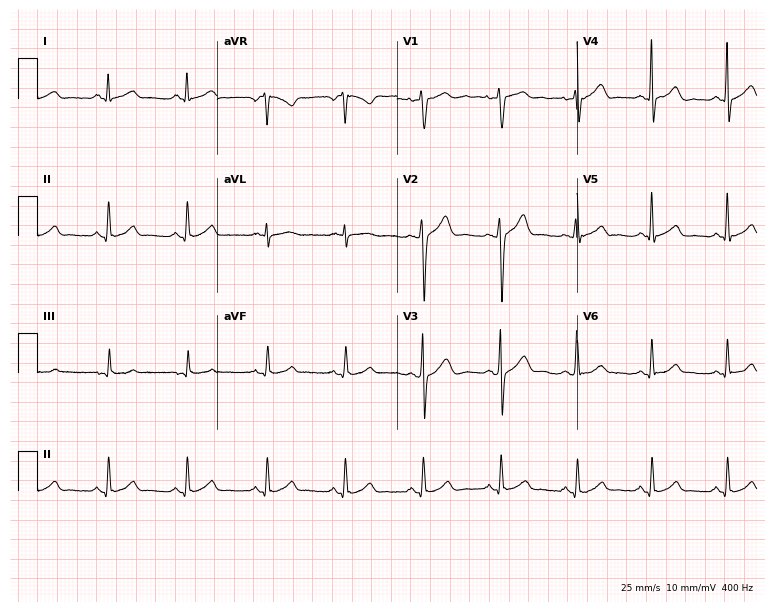
Standard 12-lead ECG recorded from a male, 56 years old (7.3-second recording at 400 Hz). None of these six findings is recorded: first-degree AV block, right bundle branch block (RBBB), left bundle branch block (LBBB), sinus bradycardia, atrial fibrillation (AF), sinus tachycardia. Other findings, if any, are not listed.